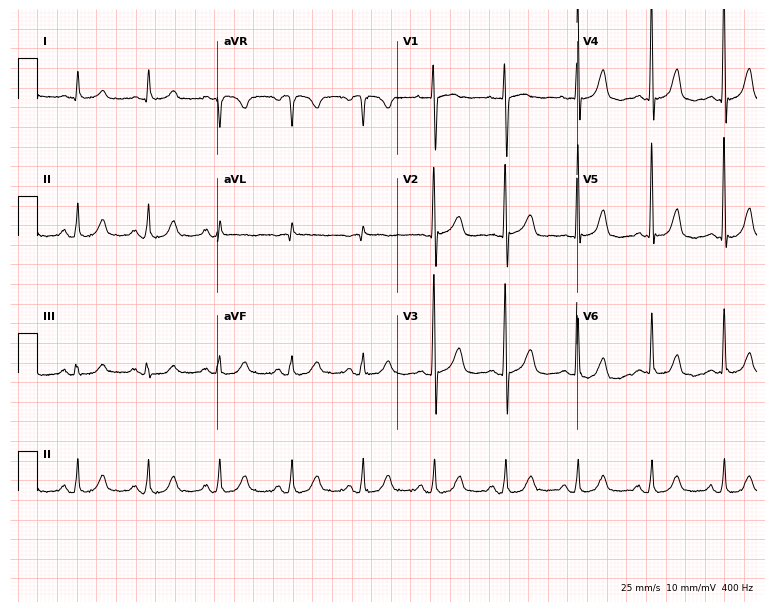
12-lead ECG from a female patient, 74 years old. Labelled as a normal ECG.